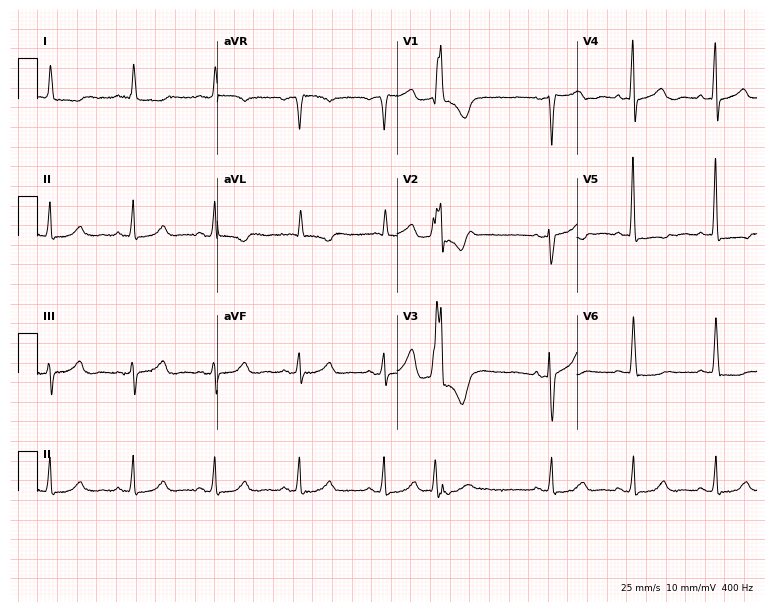
12-lead ECG from a 78-year-old woman. No first-degree AV block, right bundle branch block (RBBB), left bundle branch block (LBBB), sinus bradycardia, atrial fibrillation (AF) or sinus tachycardia recorded for this tracing.